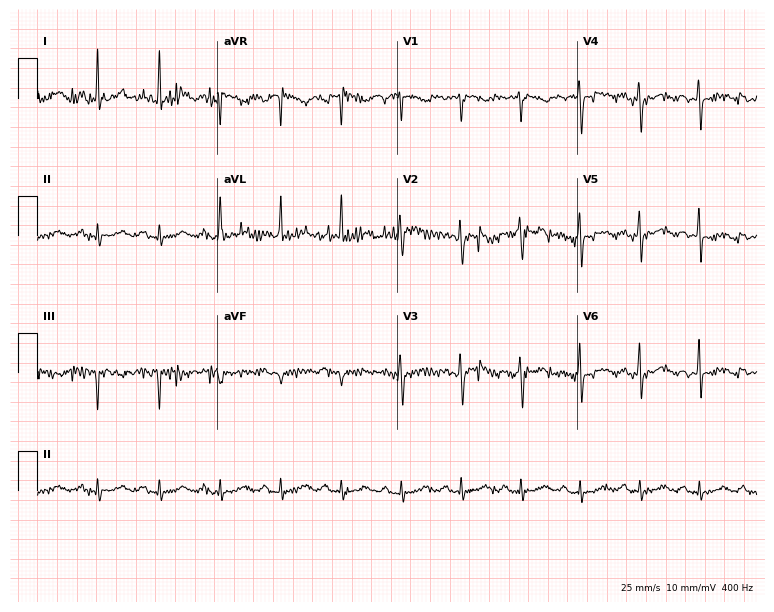
ECG — a woman, 44 years old. Screened for six findings — first-degree AV block, right bundle branch block (RBBB), left bundle branch block (LBBB), sinus bradycardia, atrial fibrillation (AF), sinus tachycardia — none is recorded.